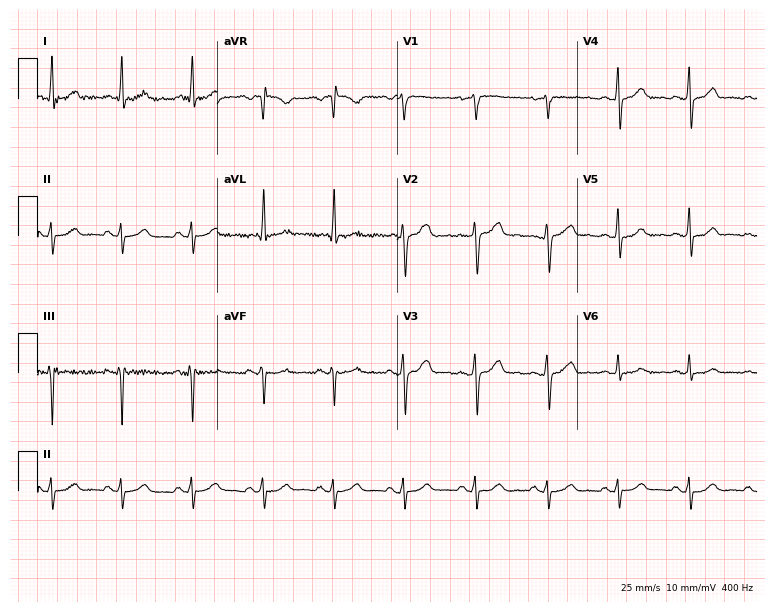
12-lead ECG (7.3-second recording at 400 Hz) from a 52-year-old woman. Screened for six findings — first-degree AV block, right bundle branch block, left bundle branch block, sinus bradycardia, atrial fibrillation, sinus tachycardia — none is recorded.